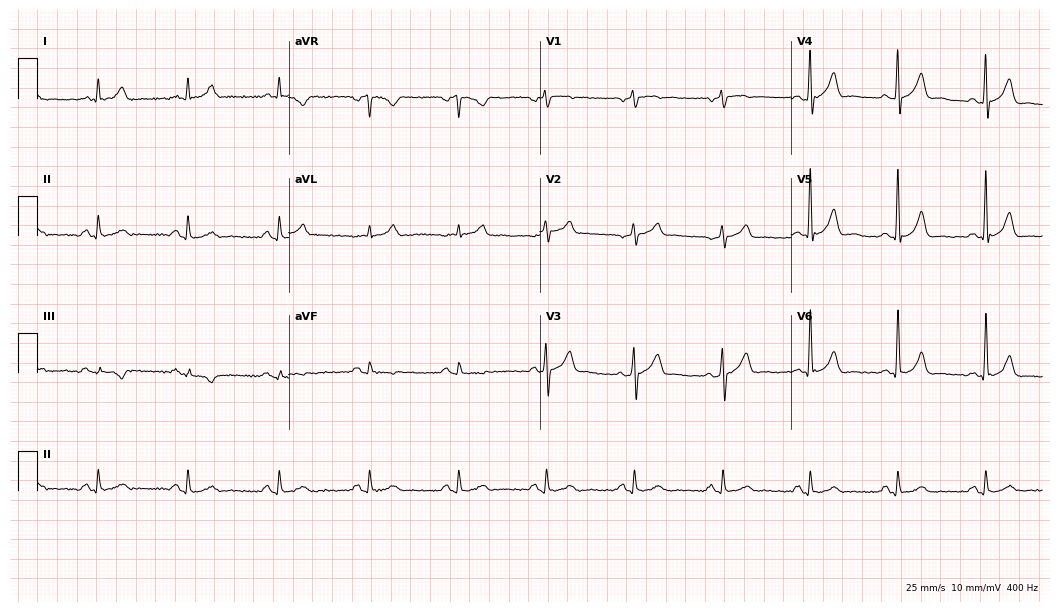
ECG (10.2-second recording at 400 Hz) — a man, 68 years old. Labelled as a normal ECG.